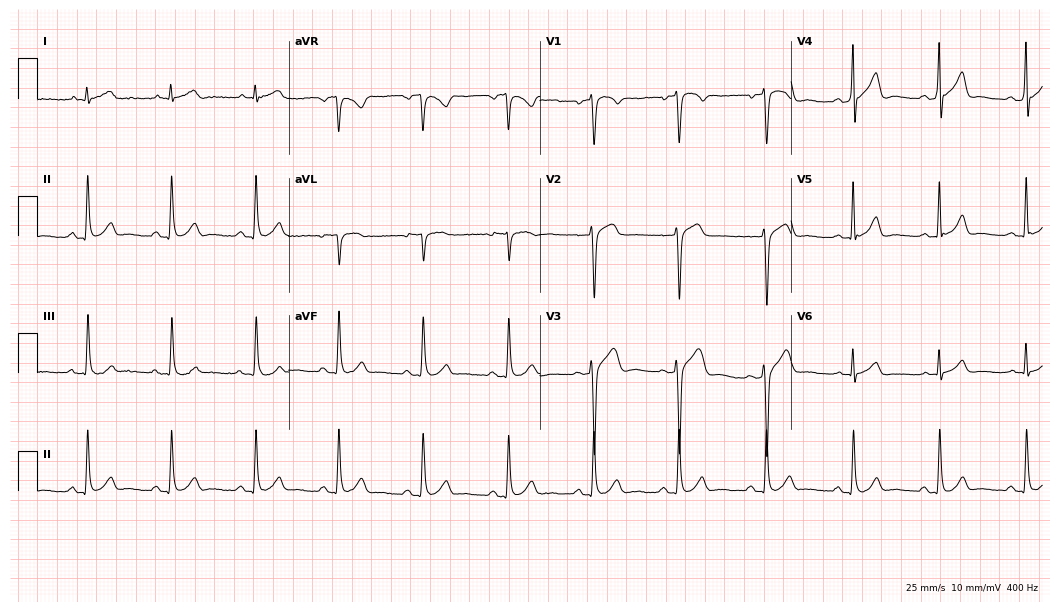
Resting 12-lead electrocardiogram (10.2-second recording at 400 Hz). Patient: a 43-year-old male. Read as a normal ECG.